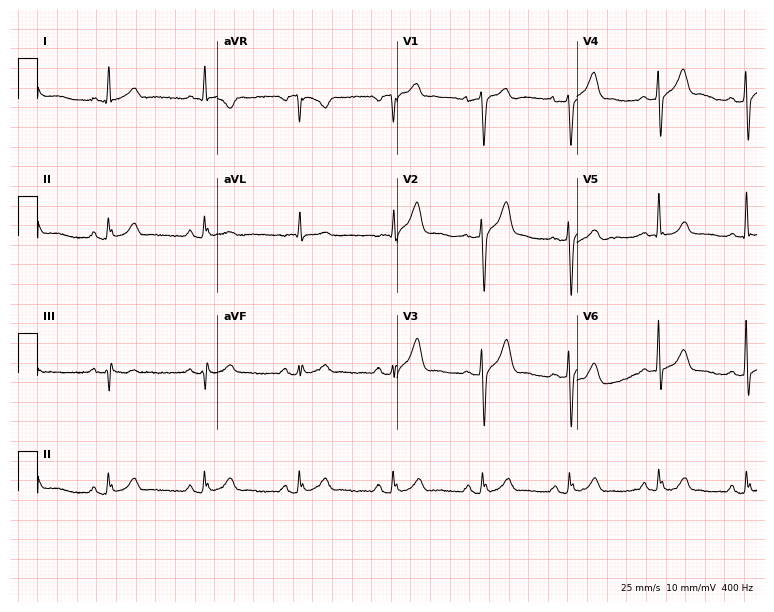
Resting 12-lead electrocardiogram. Patient: a man, 59 years old. Read as a normal ECG.